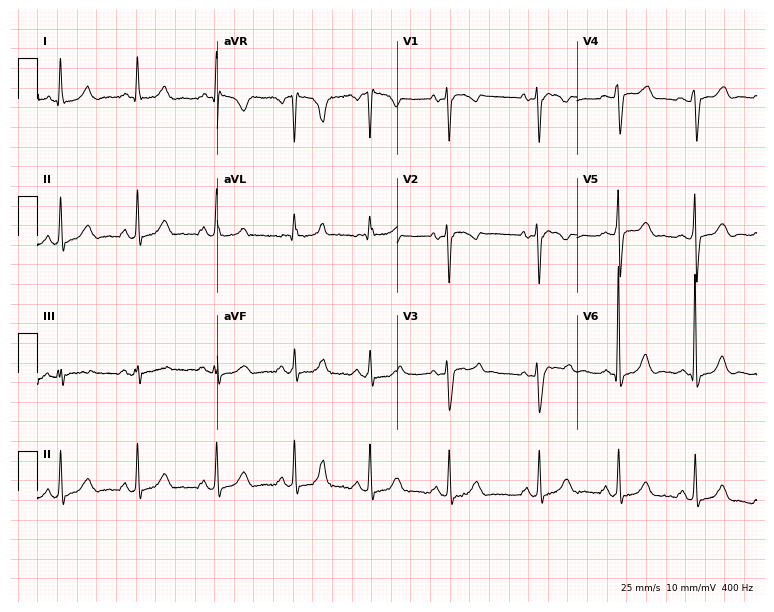
ECG — a female, 63 years old. Screened for six findings — first-degree AV block, right bundle branch block, left bundle branch block, sinus bradycardia, atrial fibrillation, sinus tachycardia — none is recorded.